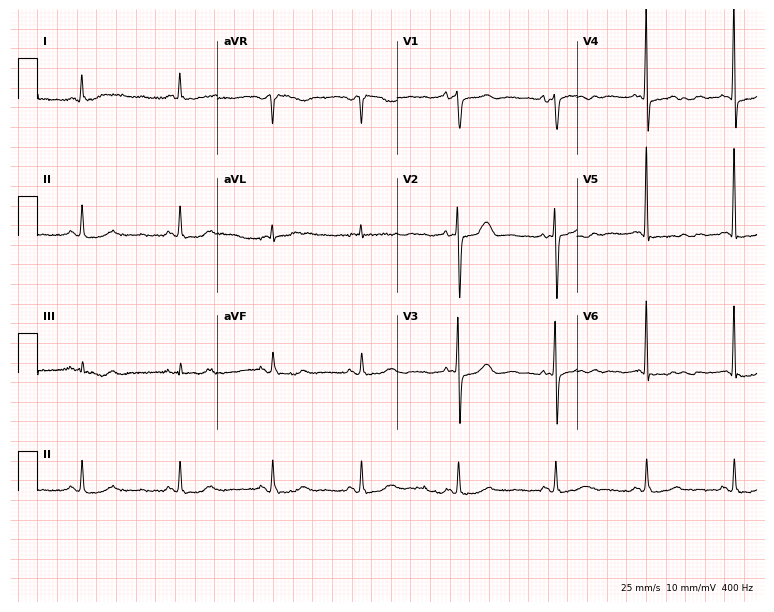
12-lead ECG (7.3-second recording at 400 Hz) from a 78-year-old female. Screened for six findings — first-degree AV block, right bundle branch block, left bundle branch block, sinus bradycardia, atrial fibrillation, sinus tachycardia — none is recorded. Only these six findings were labelled.